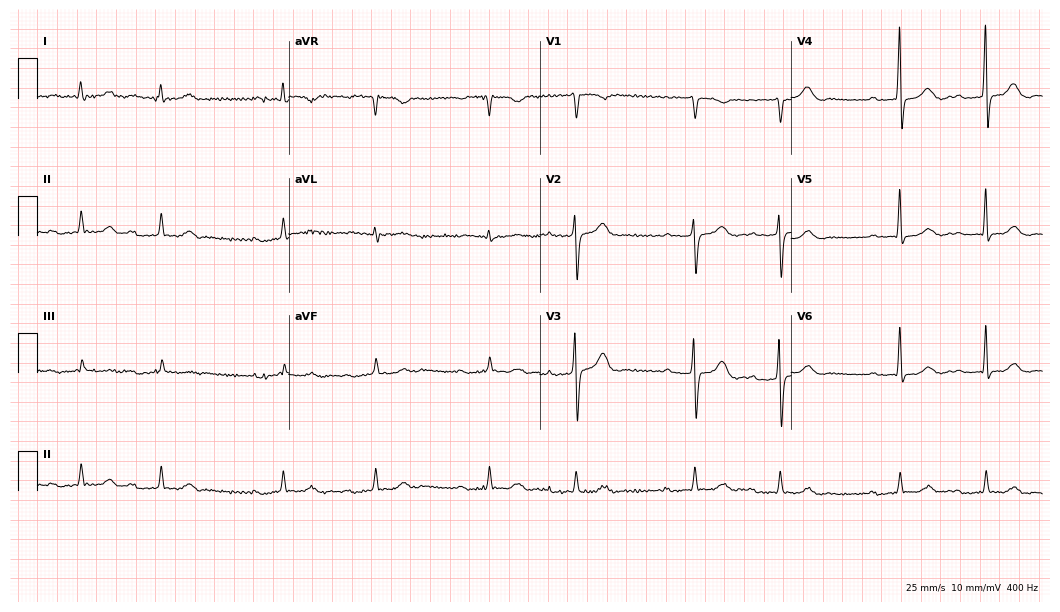
12-lead ECG (10.2-second recording at 400 Hz) from a 71-year-old male patient. Findings include first-degree AV block.